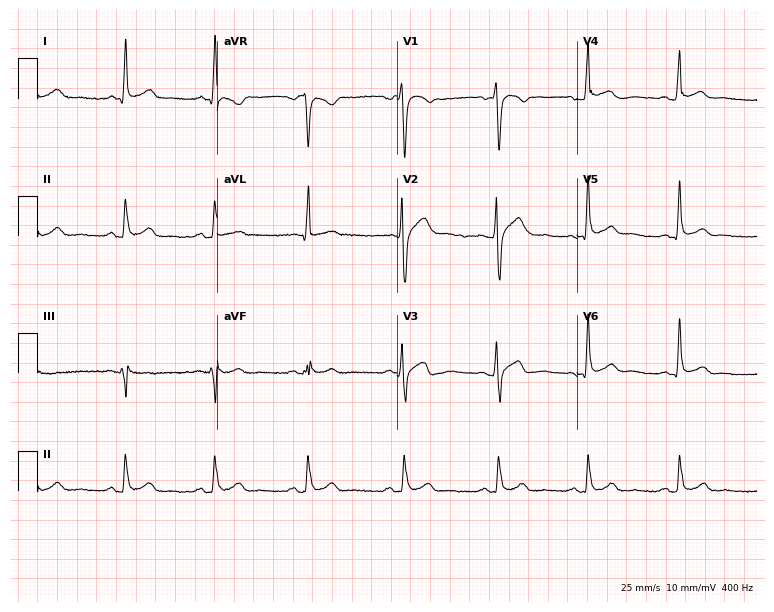
Electrocardiogram (7.3-second recording at 400 Hz), a 35-year-old man. Of the six screened findings (first-degree AV block, right bundle branch block (RBBB), left bundle branch block (LBBB), sinus bradycardia, atrial fibrillation (AF), sinus tachycardia), none is recorded. Findings outside these six are not listed.